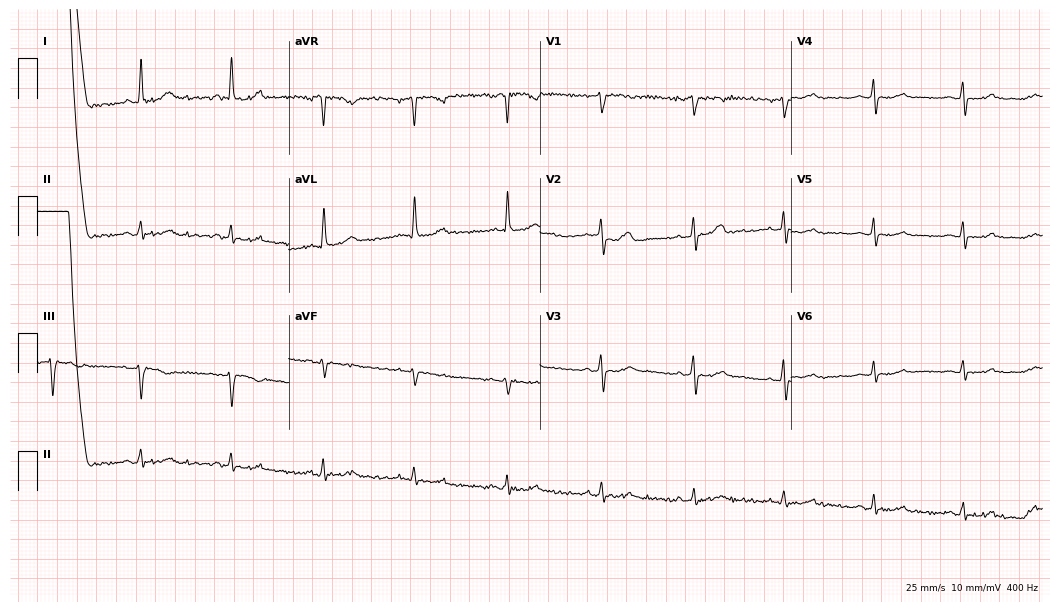
Standard 12-lead ECG recorded from a 62-year-old female patient. Read as a normal ECG.